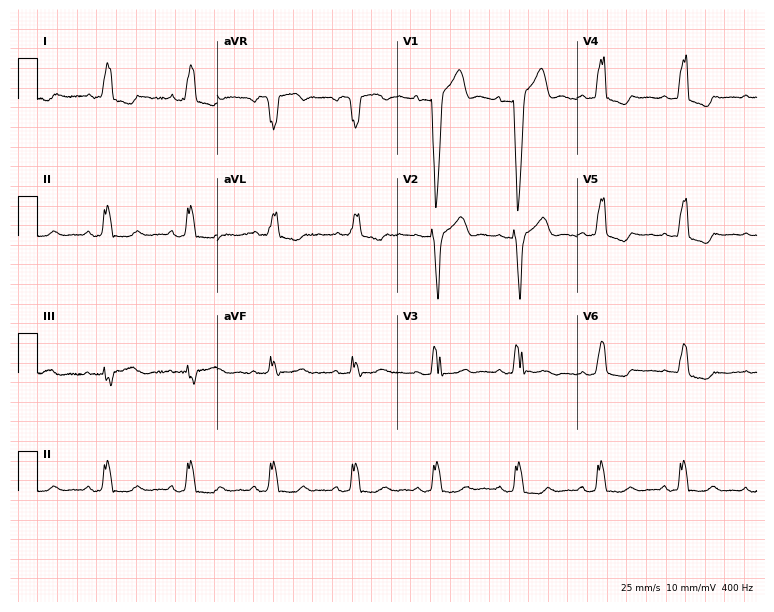
Standard 12-lead ECG recorded from a woman, 81 years old (7.3-second recording at 400 Hz). The tracing shows left bundle branch block.